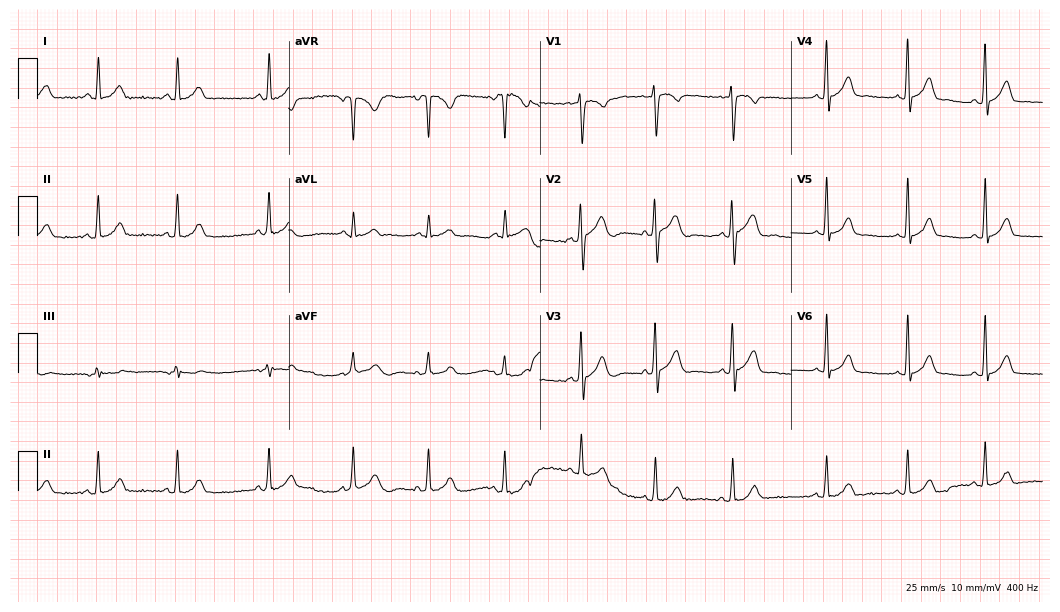
ECG — a 23-year-old female. Labelled as a normal ECG.